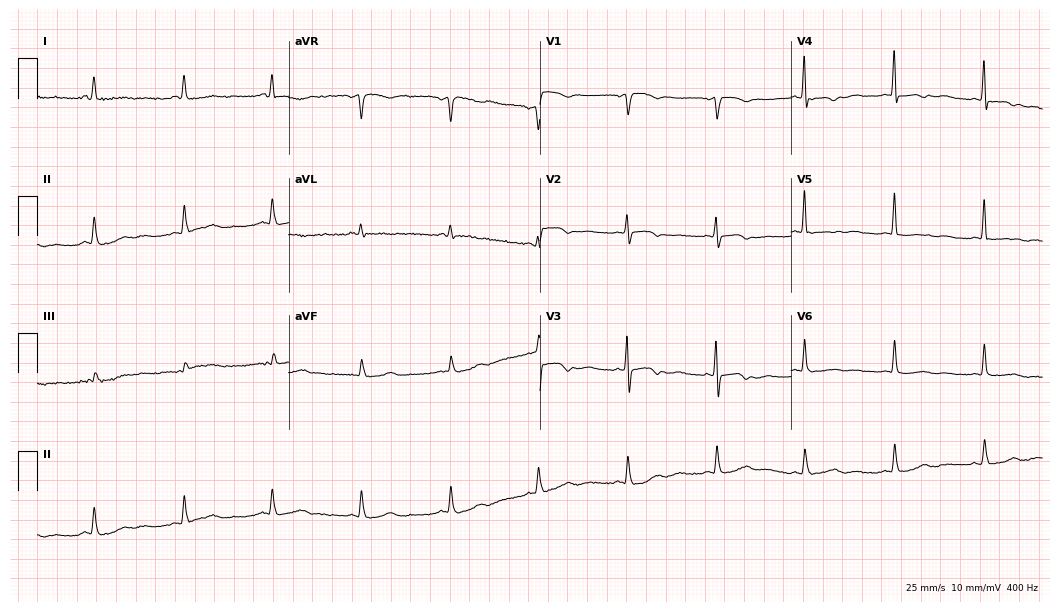
Resting 12-lead electrocardiogram (10.2-second recording at 400 Hz). Patient: a woman, 68 years old. None of these six findings is recorded: first-degree AV block, right bundle branch block, left bundle branch block, sinus bradycardia, atrial fibrillation, sinus tachycardia. Findings outside these six are not listed.